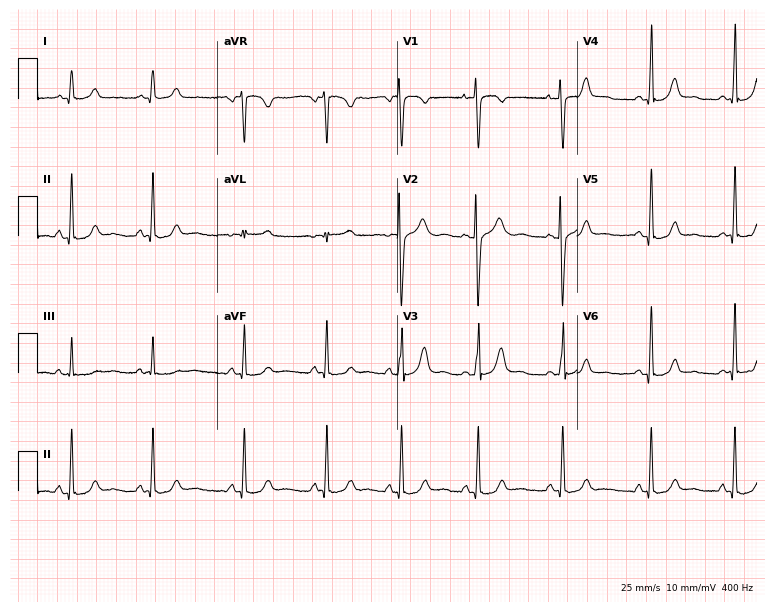
Standard 12-lead ECG recorded from a female, 25 years old (7.3-second recording at 400 Hz). Read as a normal ECG.